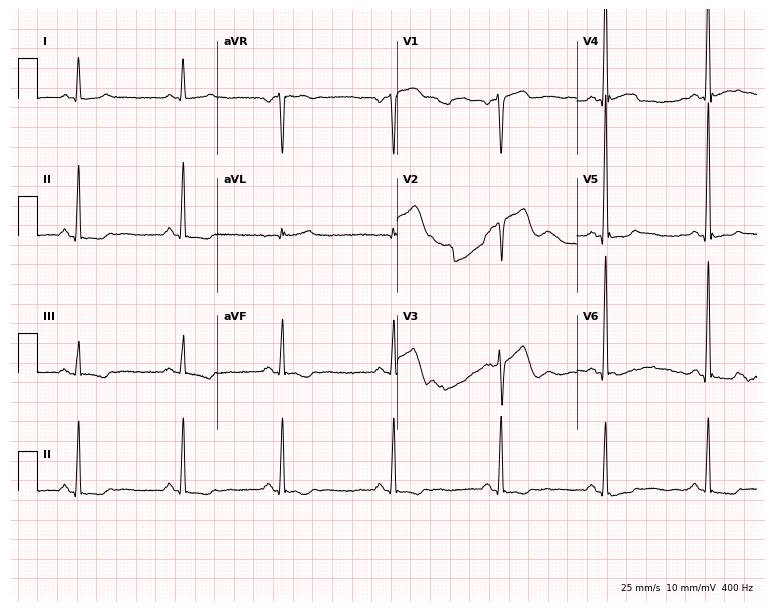
12-lead ECG from a 53-year-old male. No first-degree AV block, right bundle branch block, left bundle branch block, sinus bradycardia, atrial fibrillation or sinus tachycardia recorded for this tracing.